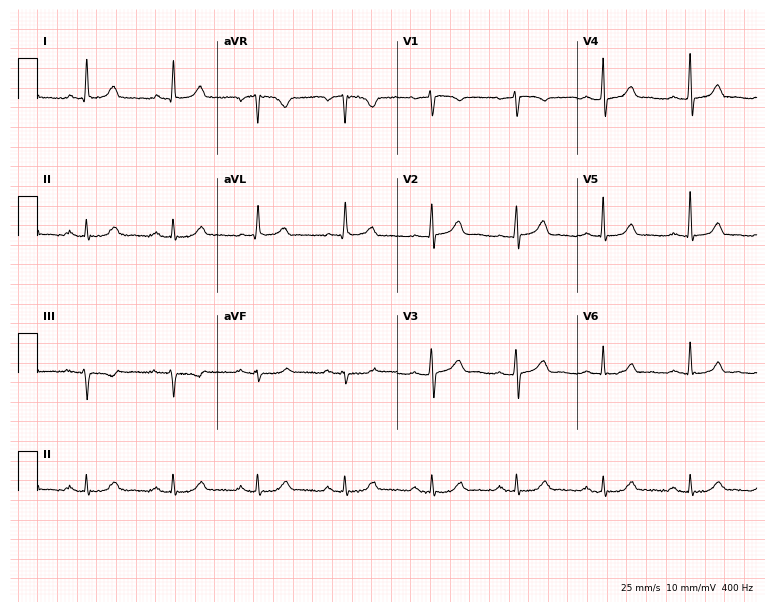
12-lead ECG from a 70-year-old woman. Recorded interpretation: within normal limits.